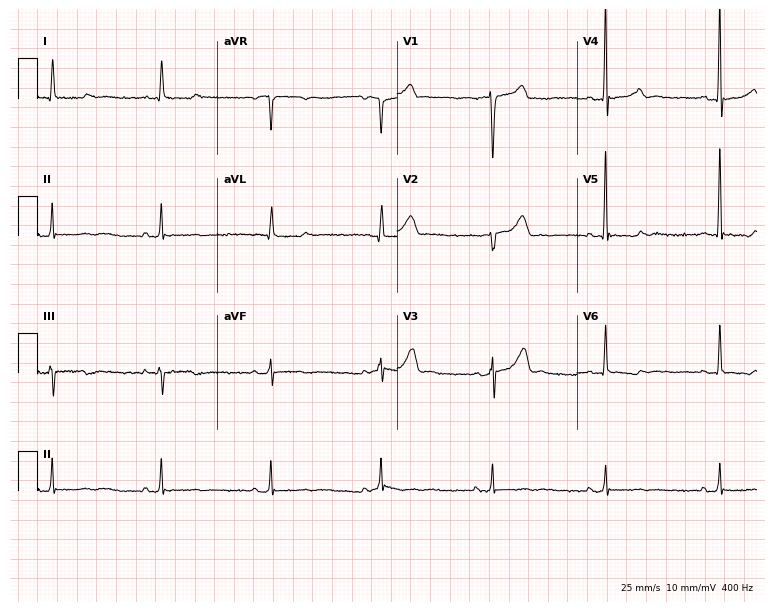
12-lead ECG from a man, 59 years old. Screened for six findings — first-degree AV block, right bundle branch block, left bundle branch block, sinus bradycardia, atrial fibrillation, sinus tachycardia — none is recorded. Only these six findings were labelled.